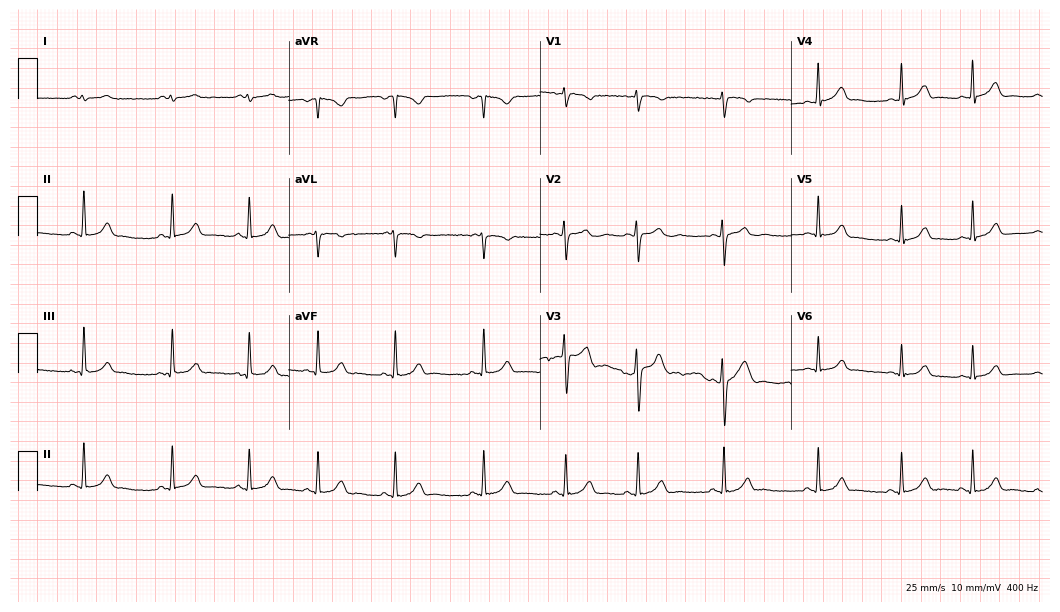
12-lead ECG (10.2-second recording at 400 Hz) from a 19-year-old female. Labelled as a normal ECG.